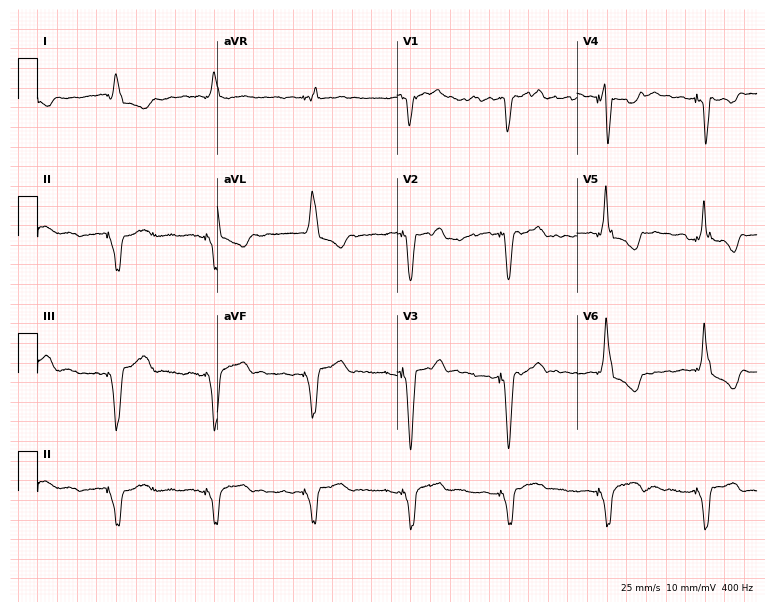
Electrocardiogram, a male patient, 77 years old. Of the six screened findings (first-degree AV block, right bundle branch block, left bundle branch block, sinus bradycardia, atrial fibrillation, sinus tachycardia), none is recorded. Findings outside these six are not listed.